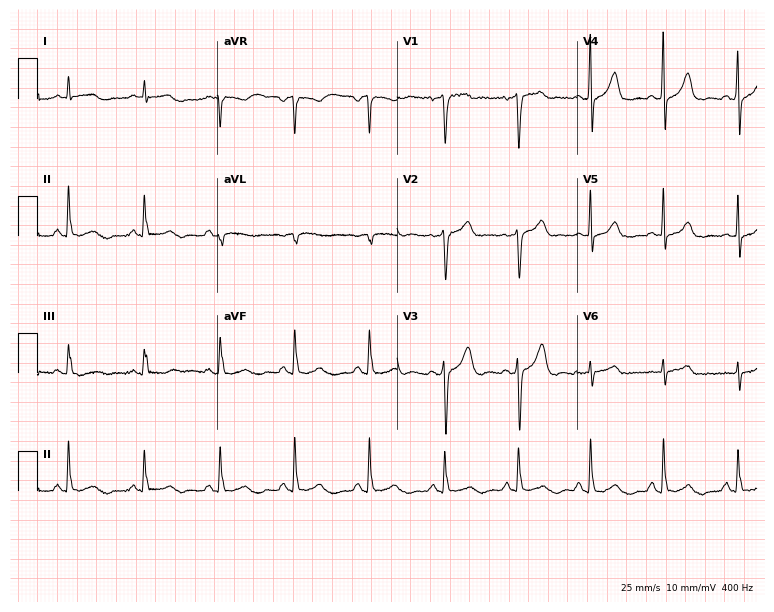
ECG (7.3-second recording at 400 Hz) — a male patient, 57 years old. Screened for six findings — first-degree AV block, right bundle branch block, left bundle branch block, sinus bradycardia, atrial fibrillation, sinus tachycardia — none is recorded. Findings outside these six are not listed.